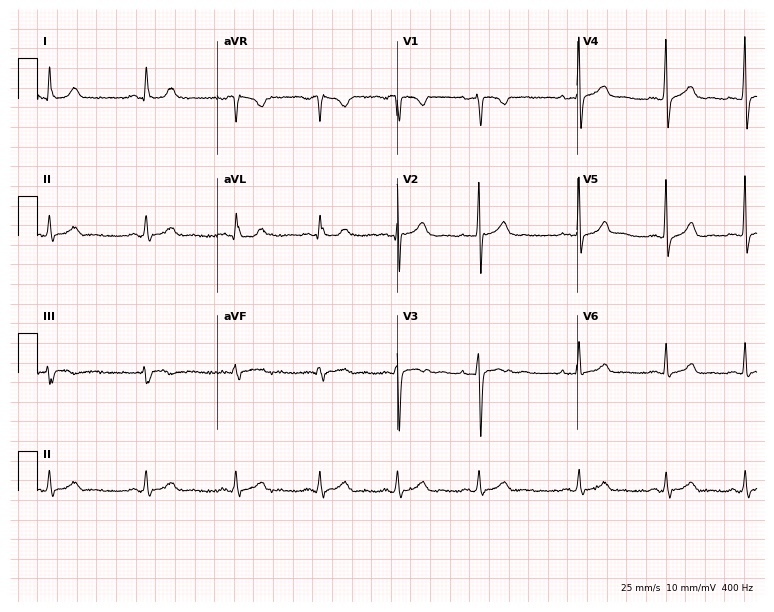
Resting 12-lead electrocardiogram. Patient: a female, 24 years old. None of these six findings is recorded: first-degree AV block, right bundle branch block, left bundle branch block, sinus bradycardia, atrial fibrillation, sinus tachycardia. Other findings, if any, are not listed.